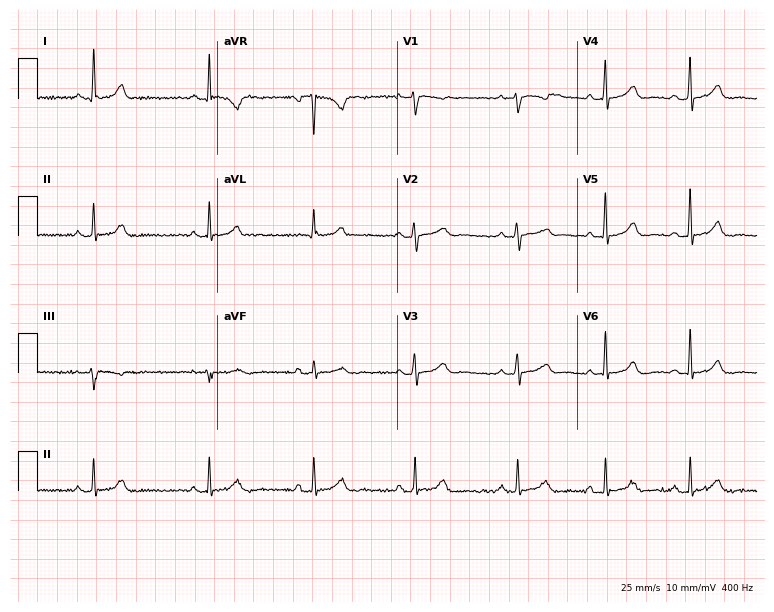
ECG — a 37-year-old female patient. Labelled as a normal ECG.